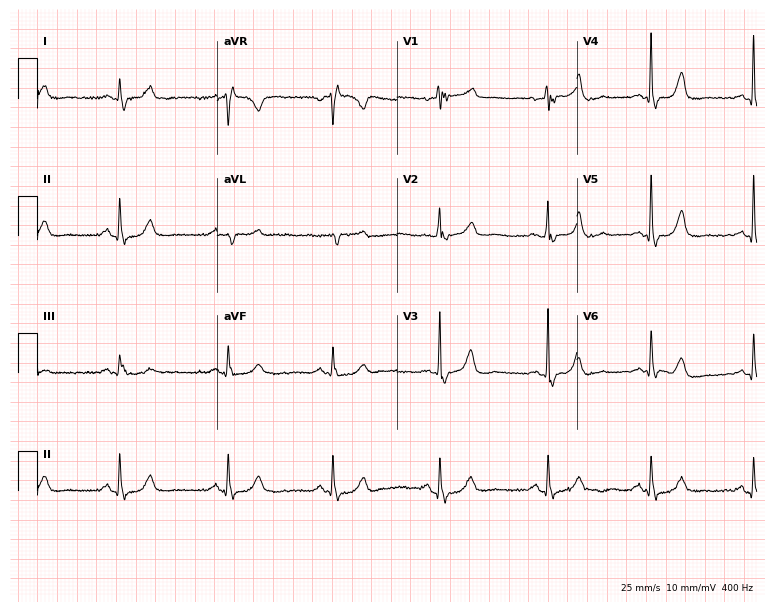
12-lead ECG from a woman, 85 years old (7.3-second recording at 400 Hz). No first-degree AV block, right bundle branch block (RBBB), left bundle branch block (LBBB), sinus bradycardia, atrial fibrillation (AF) or sinus tachycardia recorded for this tracing. Other findings, if any, are not listed.